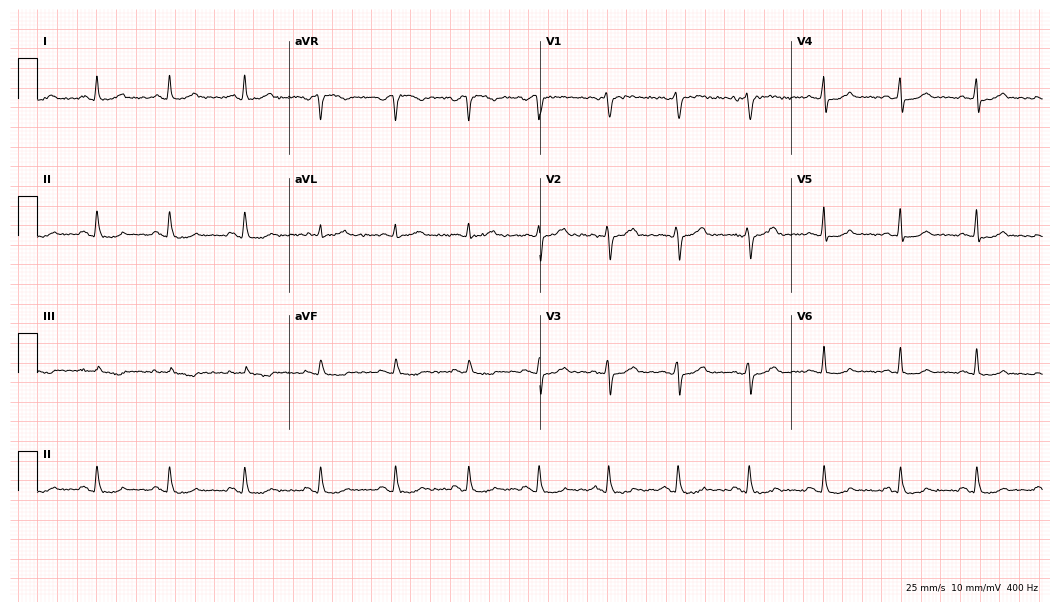
ECG (10.2-second recording at 400 Hz) — a 45-year-old female. Labelled as a normal ECG.